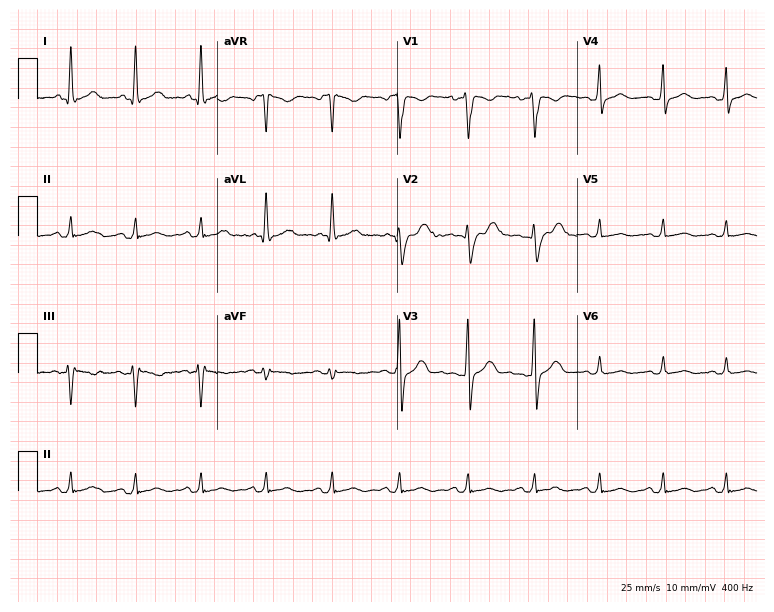
Resting 12-lead electrocardiogram (7.3-second recording at 400 Hz). Patient: a 26-year-old male. None of these six findings is recorded: first-degree AV block, right bundle branch block (RBBB), left bundle branch block (LBBB), sinus bradycardia, atrial fibrillation (AF), sinus tachycardia. Findings outside these six are not listed.